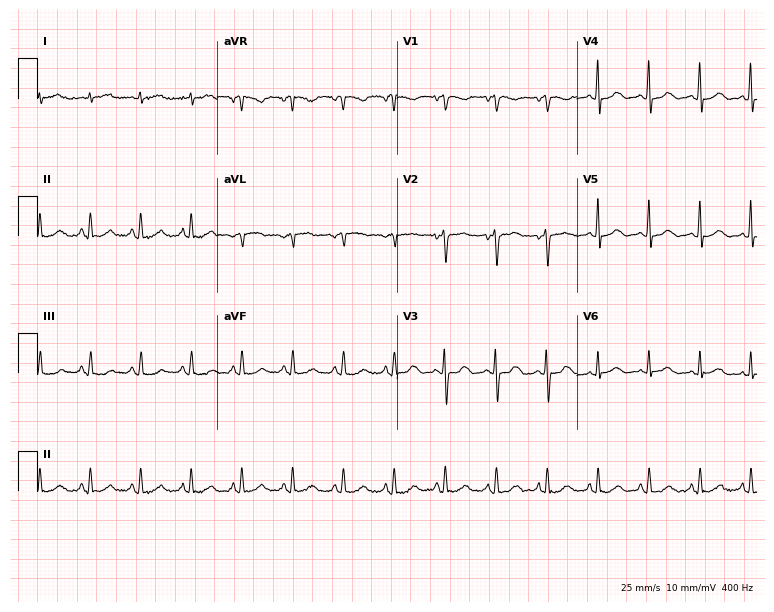
Standard 12-lead ECG recorded from a 43-year-old male. The tracing shows sinus tachycardia (a sinus rate of 100 beats per minute or more).